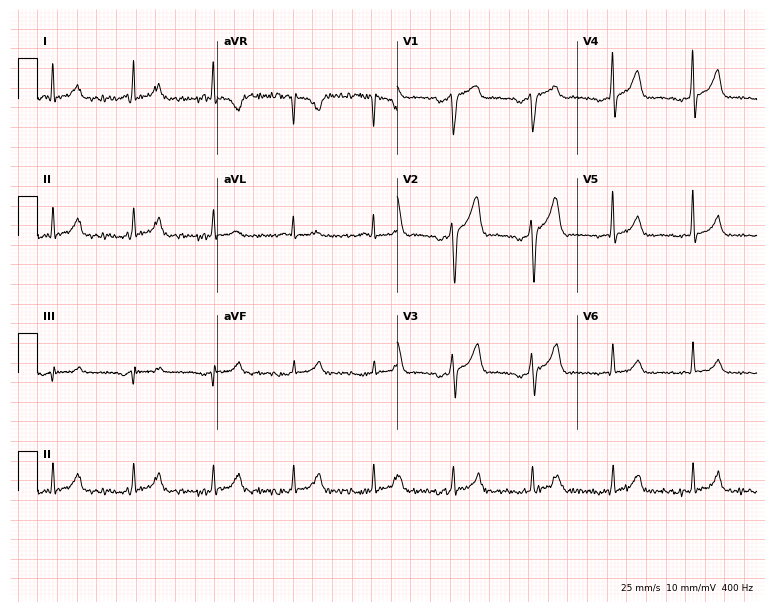
Resting 12-lead electrocardiogram. Patient: a 49-year-old male. None of these six findings is recorded: first-degree AV block, right bundle branch block, left bundle branch block, sinus bradycardia, atrial fibrillation, sinus tachycardia. Findings outside these six are not listed.